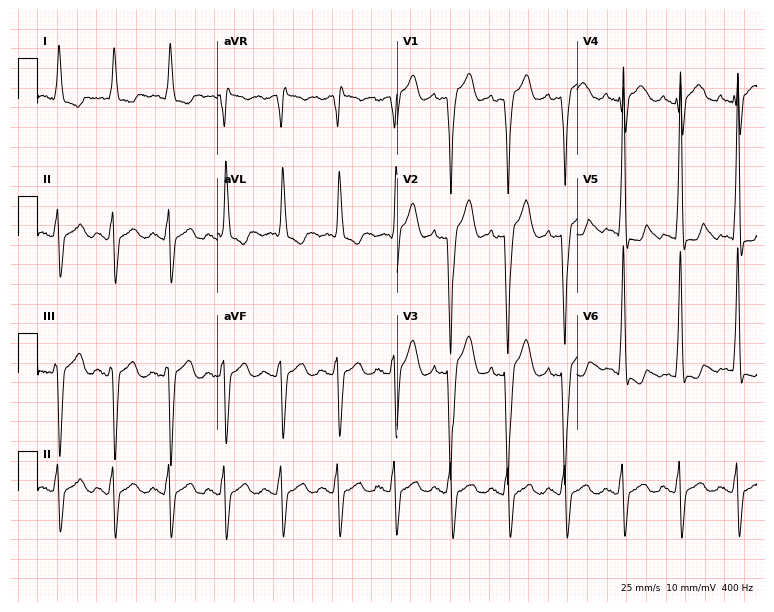
ECG (7.3-second recording at 400 Hz) — a male, 70 years old. Screened for six findings — first-degree AV block, right bundle branch block, left bundle branch block, sinus bradycardia, atrial fibrillation, sinus tachycardia — none is recorded.